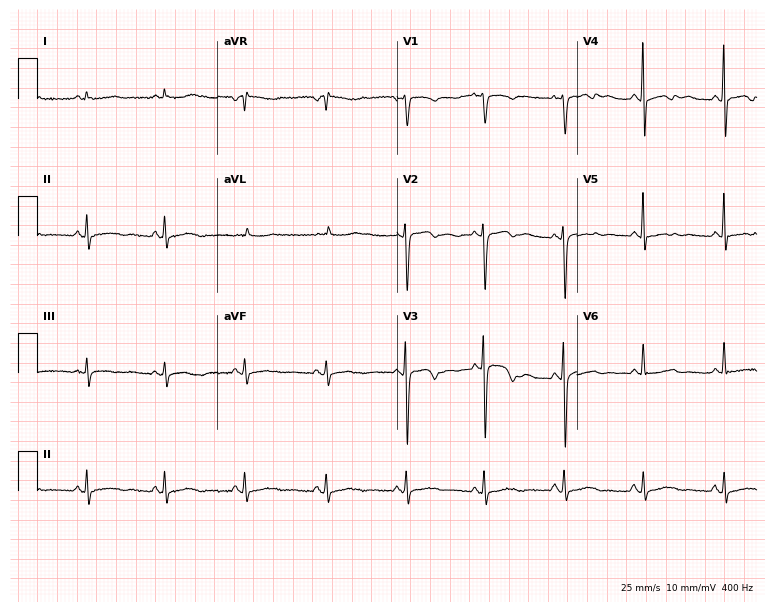
12-lead ECG from a 77-year-old female. Screened for six findings — first-degree AV block, right bundle branch block, left bundle branch block, sinus bradycardia, atrial fibrillation, sinus tachycardia — none is recorded. Other findings, if any, are not listed.